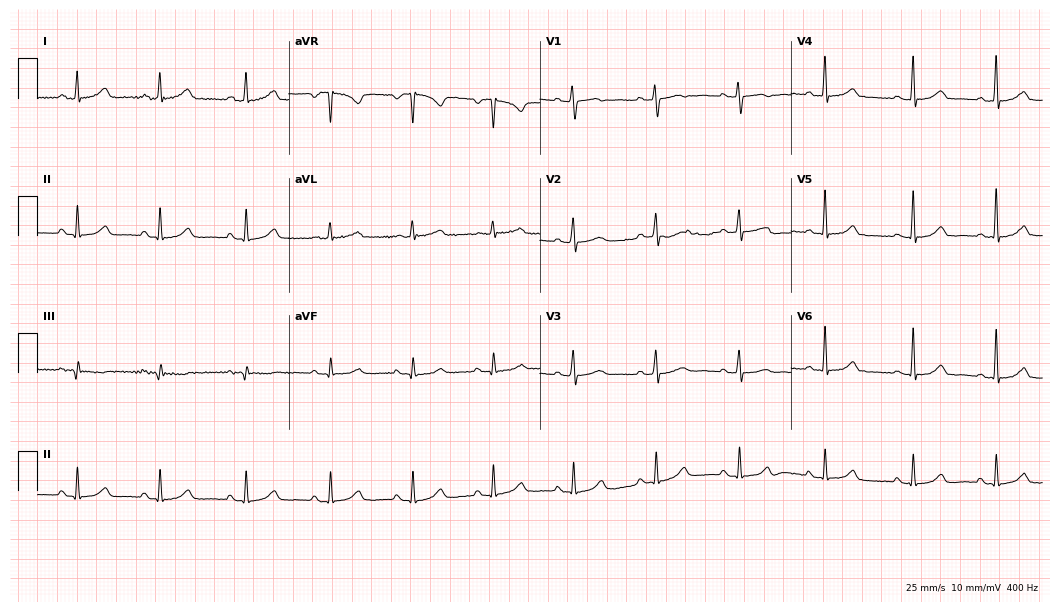
Standard 12-lead ECG recorded from a 46-year-old woman (10.2-second recording at 400 Hz). None of these six findings is recorded: first-degree AV block, right bundle branch block, left bundle branch block, sinus bradycardia, atrial fibrillation, sinus tachycardia. Only these six findings were labelled.